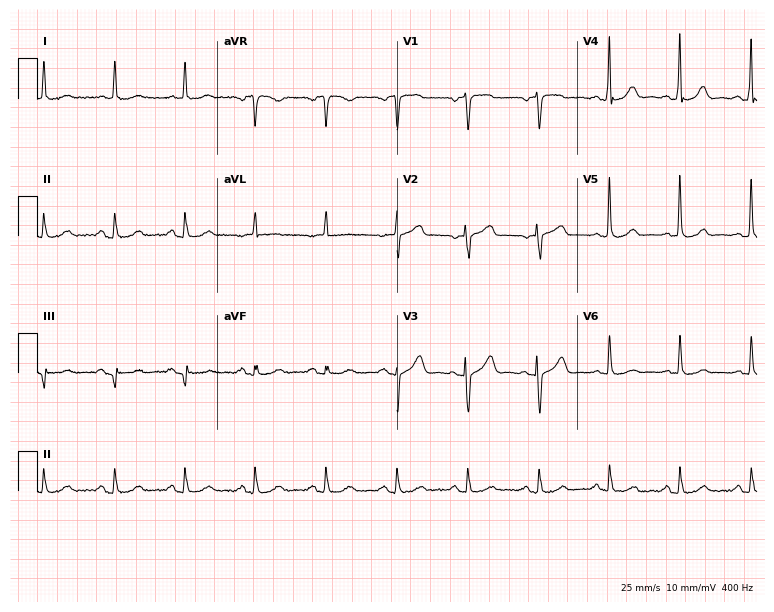
ECG (7.3-second recording at 400 Hz) — a 69-year-old female patient. Labelled as a normal ECG.